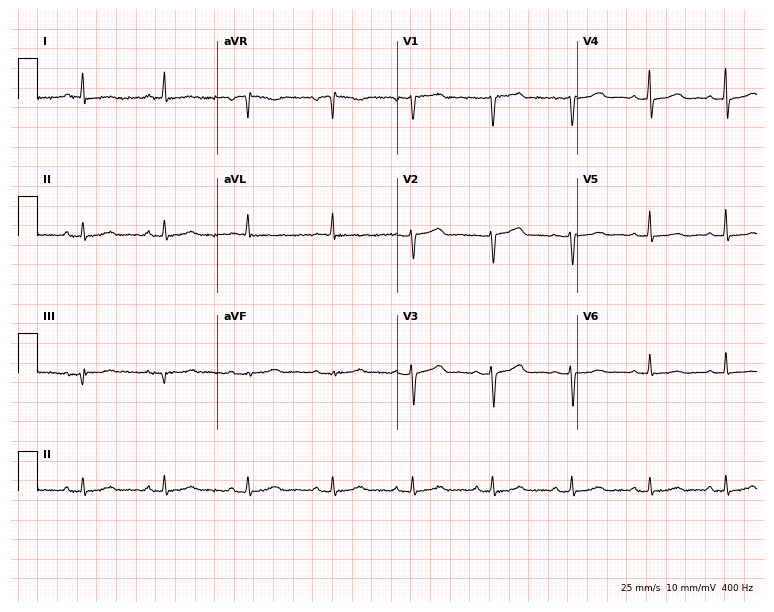
ECG (7.3-second recording at 400 Hz) — a female patient, 51 years old. Screened for six findings — first-degree AV block, right bundle branch block (RBBB), left bundle branch block (LBBB), sinus bradycardia, atrial fibrillation (AF), sinus tachycardia — none is recorded.